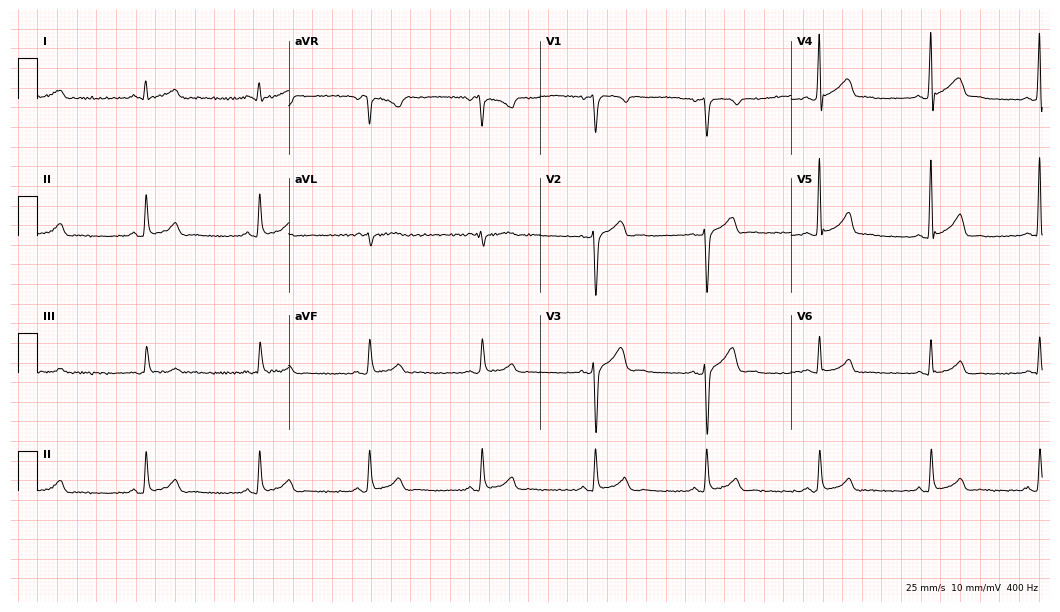
12-lead ECG from a 37-year-old male. Labelled as a normal ECG.